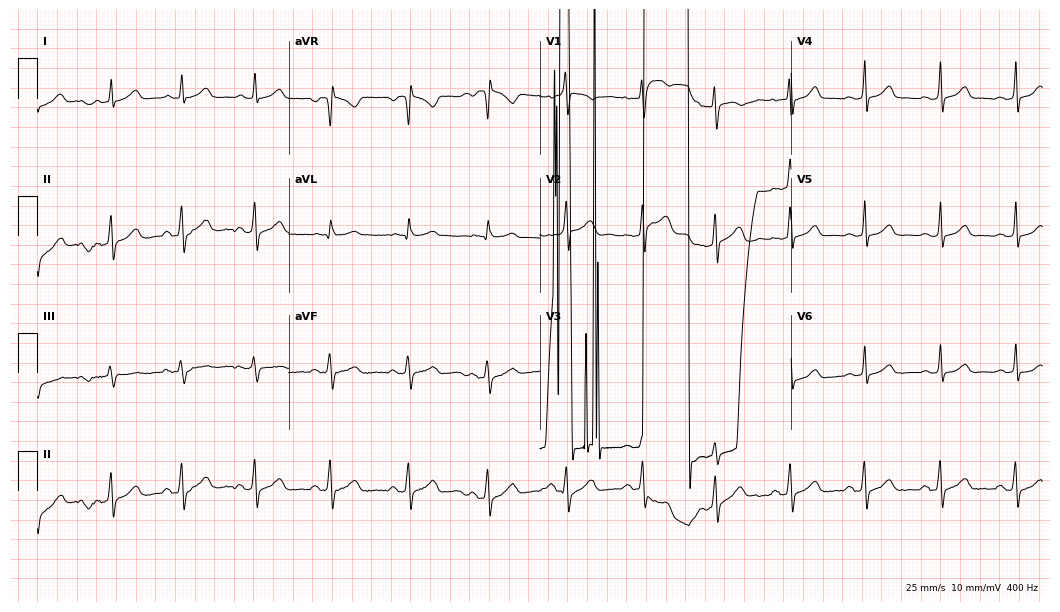
12-lead ECG from a 28-year-old woman (10.2-second recording at 400 Hz). No first-degree AV block, right bundle branch block (RBBB), left bundle branch block (LBBB), sinus bradycardia, atrial fibrillation (AF) or sinus tachycardia recorded for this tracing. Only these six findings were labelled.